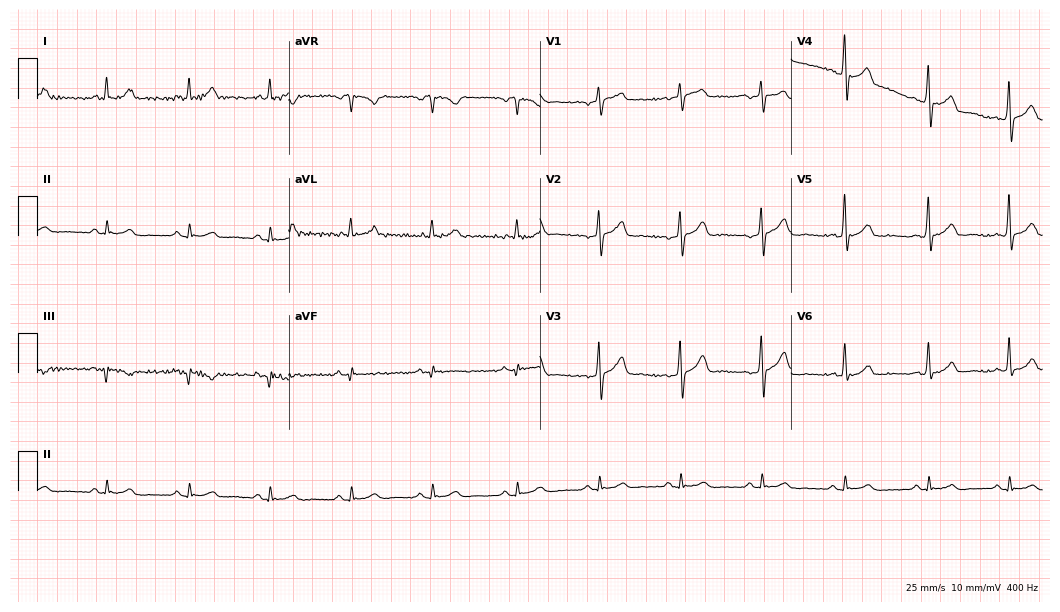
Electrocardiogram, a male patient, 65 years old. Overall reading on record: normal ECG.